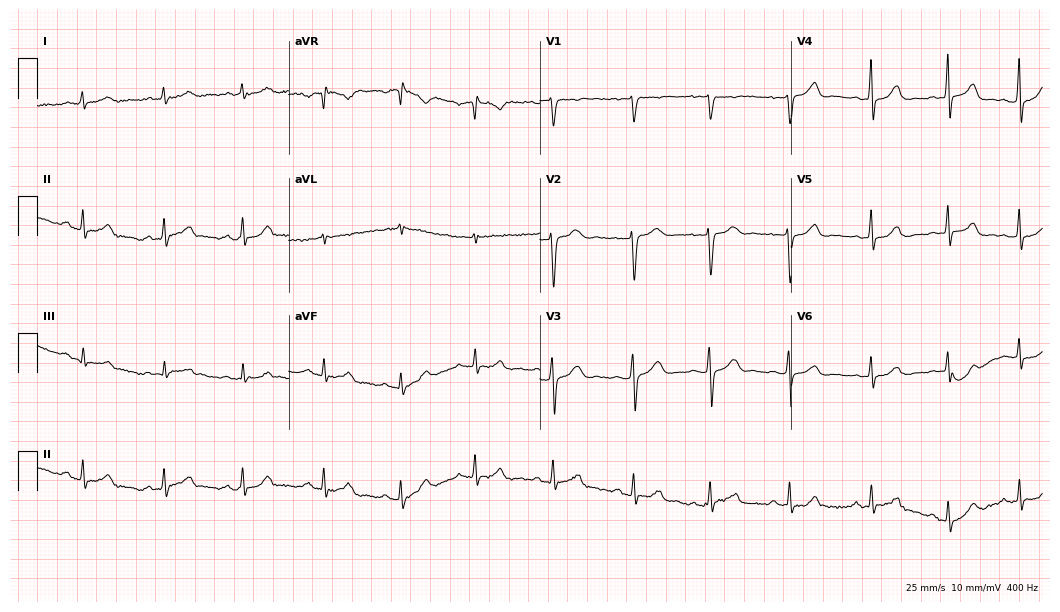
ECG (10.2-second recording at 400 Hz) — a female patient, 19 years old. Screened for six findings — first-degree AV block, right bundle branch block, left bundle branch block, sinus bradycardia, atrial fibrillation, sinus tachycardia — none is recorded. Only these six findings were labelled.